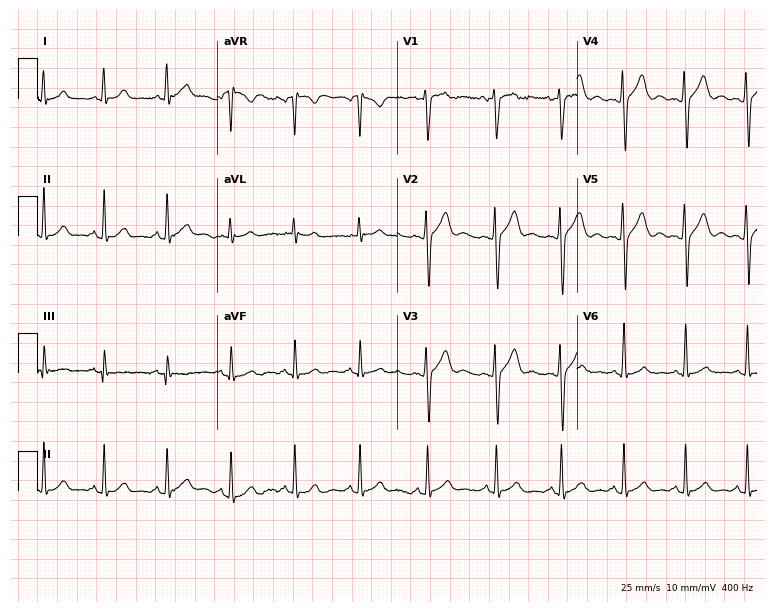
Resting 12-lead electrocardiogram. Patient: a 24-year-old male. None of these six findings is recorded: first-degree AV block, right bundle branch block, left bundle branch block, sinus bradycardia, atrial fibrillation, sinus tachycardia.